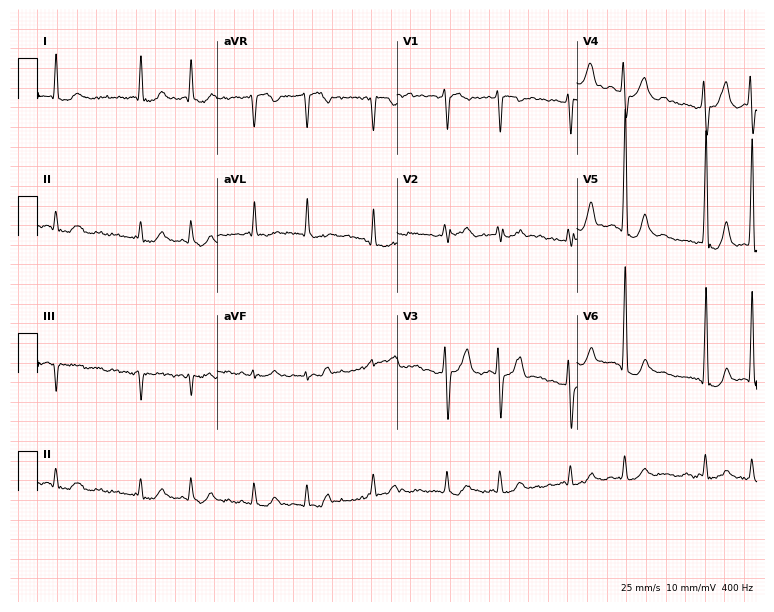
Resting 12-lead electrocardiogram (7.3-second recording at 400 Hz). Patient: a man, 70 years old. The tracing shows atrial fibrillation.